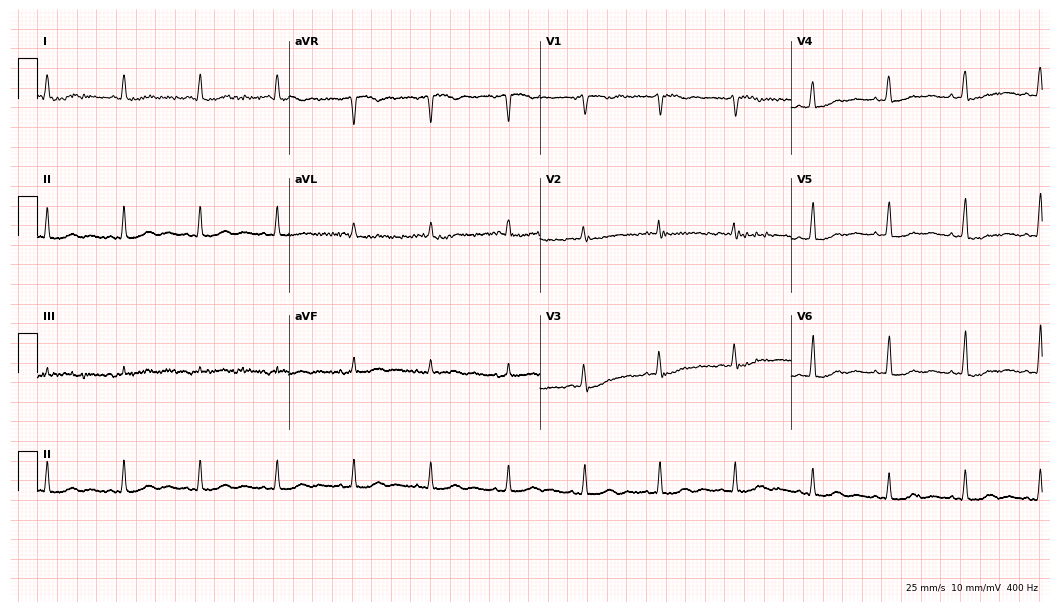
12-lead ECG from a woman, 73 years old (10.2-second recording at 400 Hz). No first-degree AV block, right bundle branch block, left bundle branch block, sinus bradycardia, atrial fibrillation or sinus tachycardia recorded for this tracing.